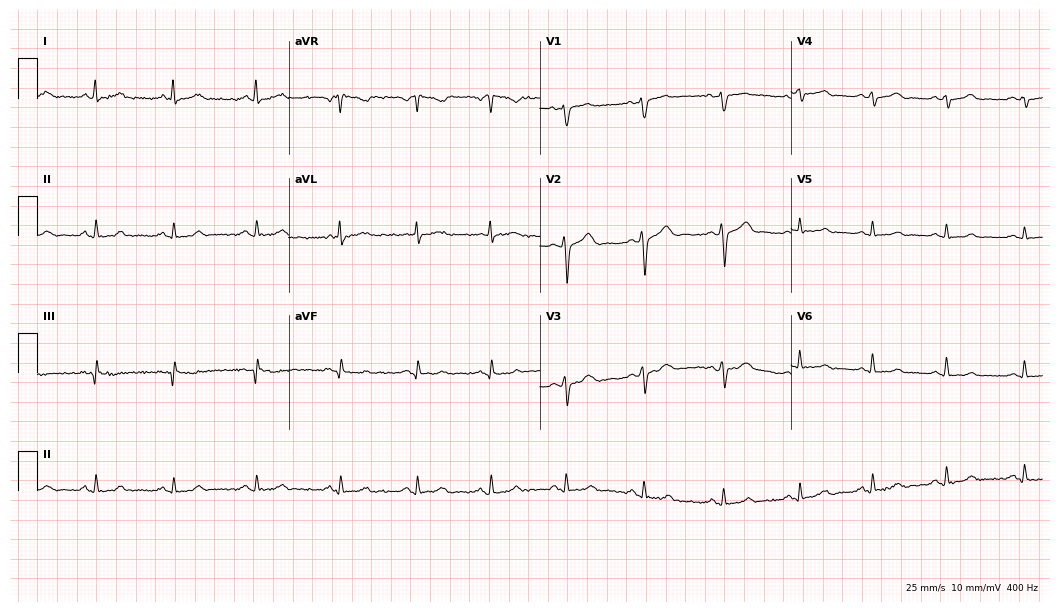
12-lead ECG from a 27-year-old male. Labelled as a normal ECG.